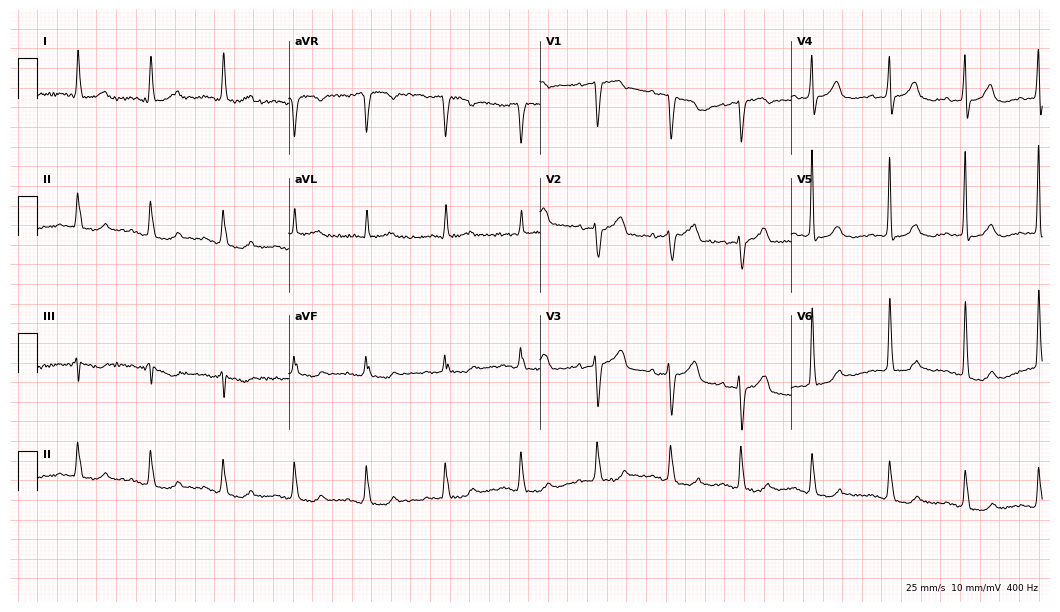
12-lead ECG from a 74-year-old woman. Screened for six findings — first-degree AV block, right bundle branch block, left bundle branch block, sinus bradycardia, atrial fibrillation, sinus tachycardia — none is recorded. Findings outside these six are not listed.